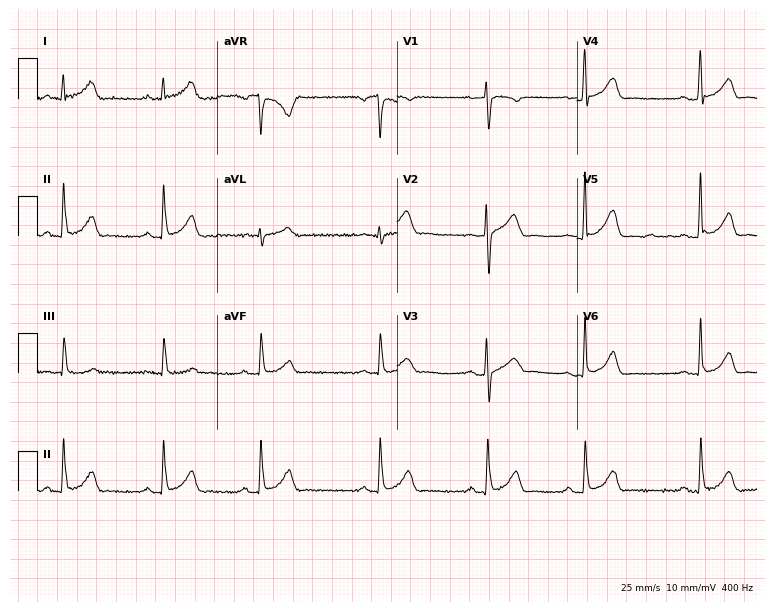
ECG (7.3-second recording at 400 Hz) — a man, 33 years old. Labelled as a normal ECG.